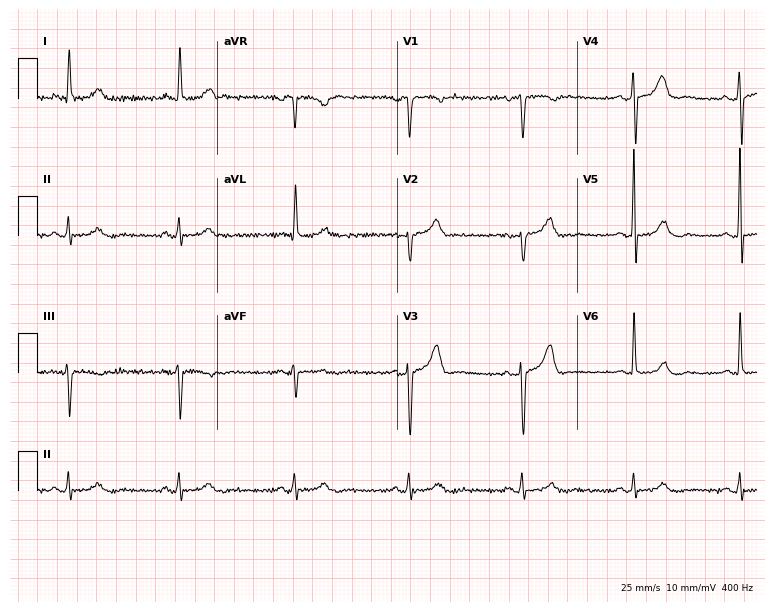
12-lead ECG (7.3-second recording at 400 Hz) from a 64-year-old man. Screened for six findings — first-degree AV block, right bundle branch block, left bundle branch block, sinus bradycardia, atrial fibrillation, sinus tachycardia — none is recorded. Other findings, if any, are not listed.